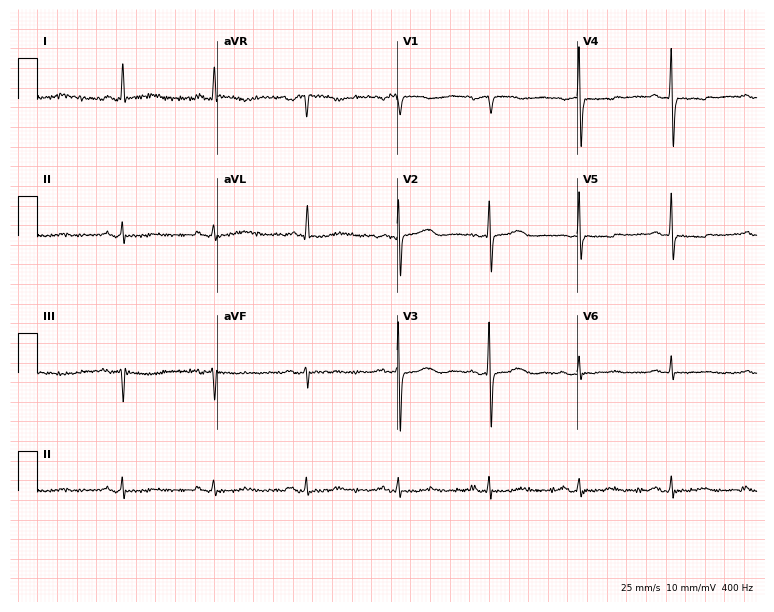
12-lead ECG from a woman, 80 years old. No first-degree AV block, right bundle branch block, left bundle branch block, sinus bradycardia, atrial fibrillation or sinus tachycardia recorded for this tracing. Findings outside these six are not listed.